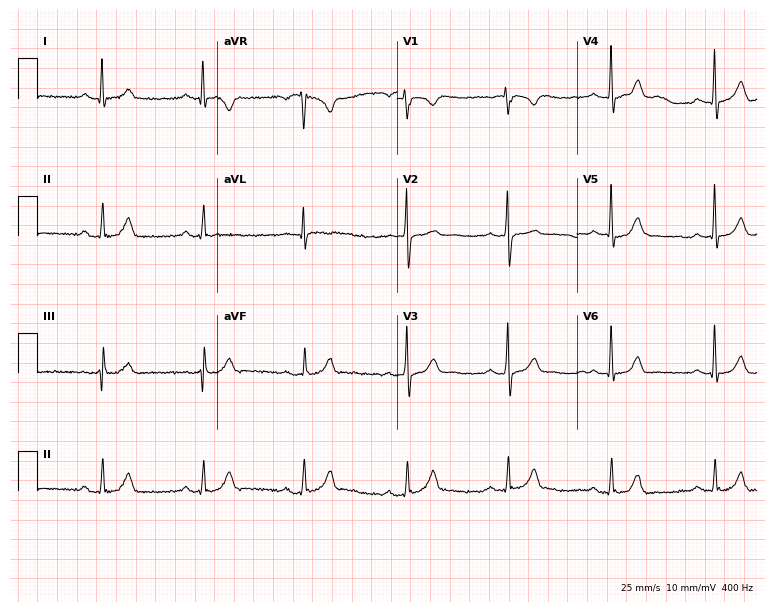
ECG (7.3-second recording at 400 Hz) — a 47-year-old man. Labelled as a normal ECG.